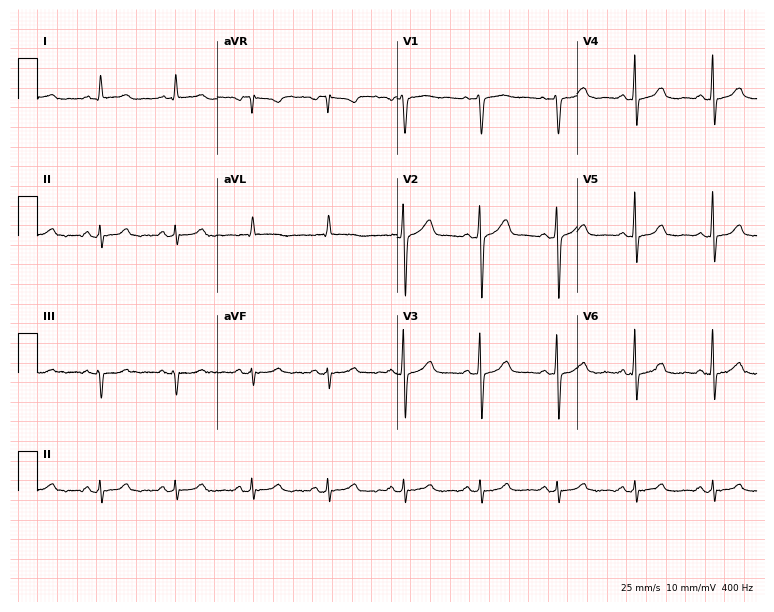
Standard 12-lead ECG recorded from a 50-year-old man. None of these six findings is recorded: first-degree AV block, right bundle branch block (RBBB), left bundle branch block (LBBB), sinus bradycardia, atrial fibrillation (AF), sinus tachycardia.